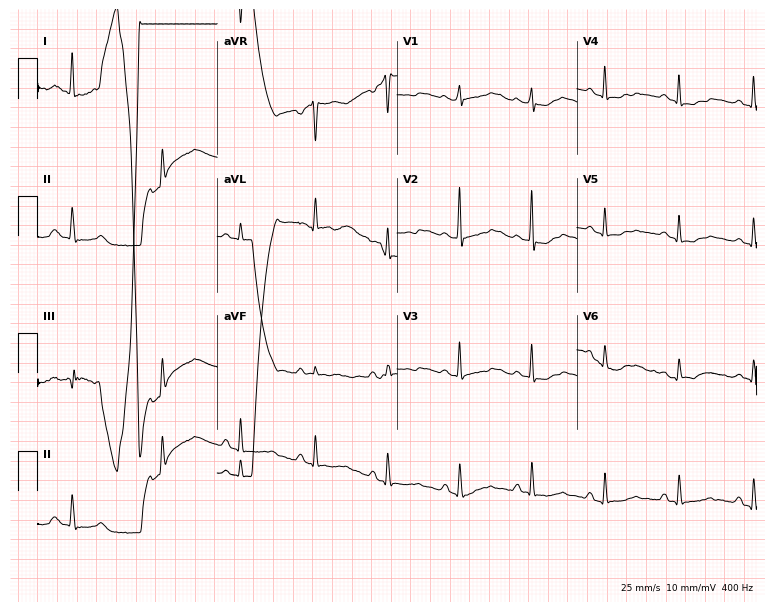
Electrocardiogram, a female, 85 years old. Of the six screened findings (first-degree AV block, right bundle branch block, left bundle branch block, sinus bradycardia, atrial fibrillation, sinus tachycardia), none is recorded.